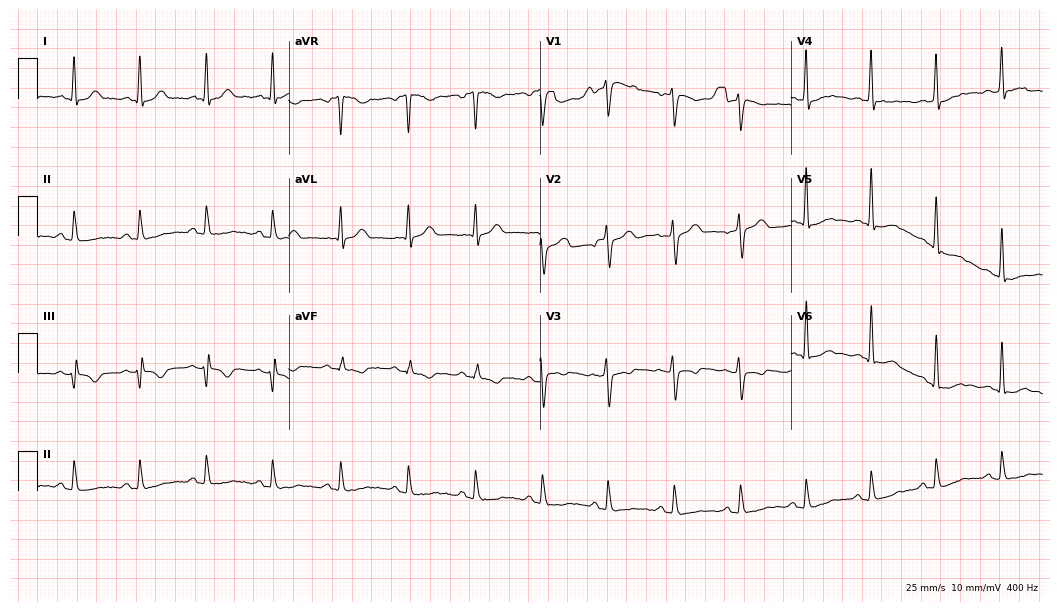
ECG (10.2-second recording at 400 Hz) — a male patient, 36 years old. Labelled as a normal ECG.